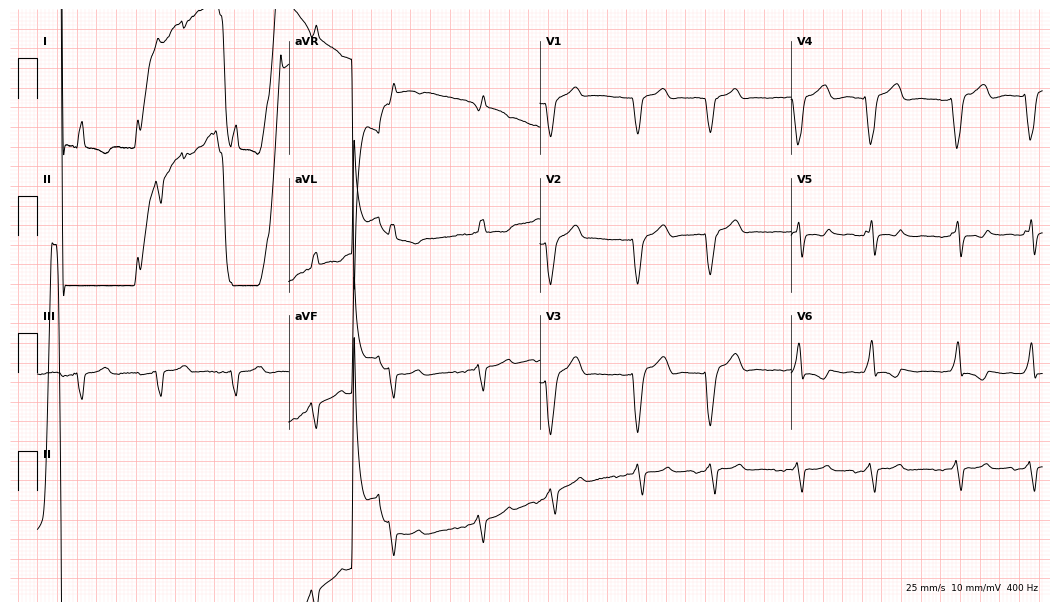
Standard 12-lead ECG recorded from a male, 74 years old. None of these six findings is recorded: first-degree AV block, right bundle branch block (RBBB), left bundle branch block (LBBB), sinus bradycardia, atrial fibrillation (AF), sinus tachycardia. Other findings, if any, are not listed.